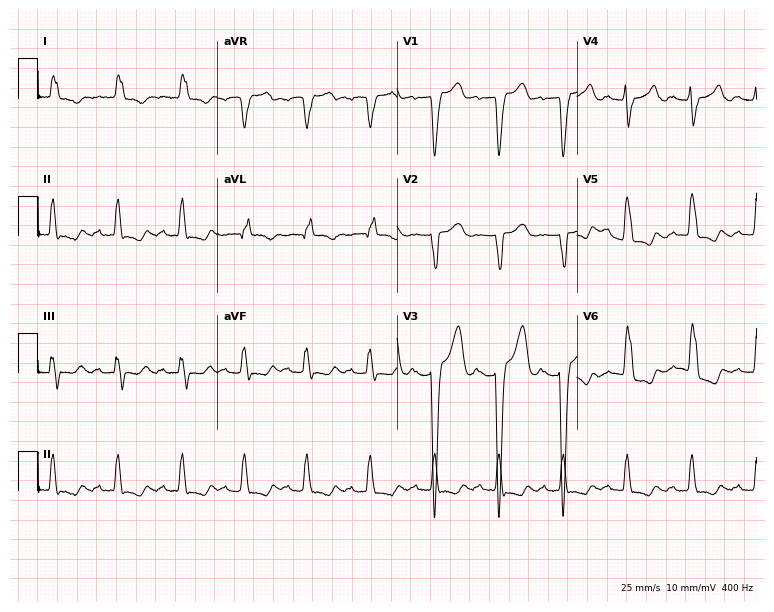
Electrocardiogram (7.3-second recording at 400 Hz), a female, 74 years old. Interpretation includes first-degree AV block, left bundle branch block.